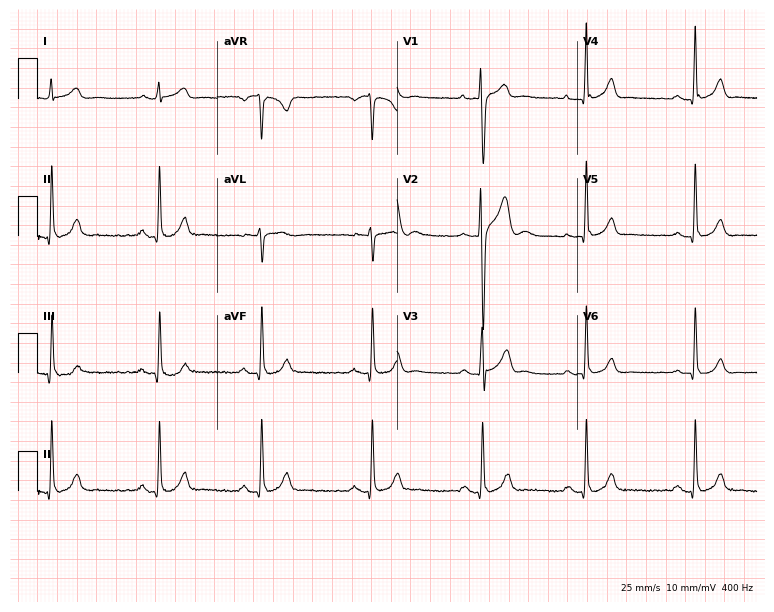
12-lead ECG from a 33-year-old male patient (7.3-second recording at 400 Hz). No first-degree AV block, right bundle branch block, left bundle branch block, sinus bradycardia, atrial fibrillation or sinus tachycardia recorded for this tracing.